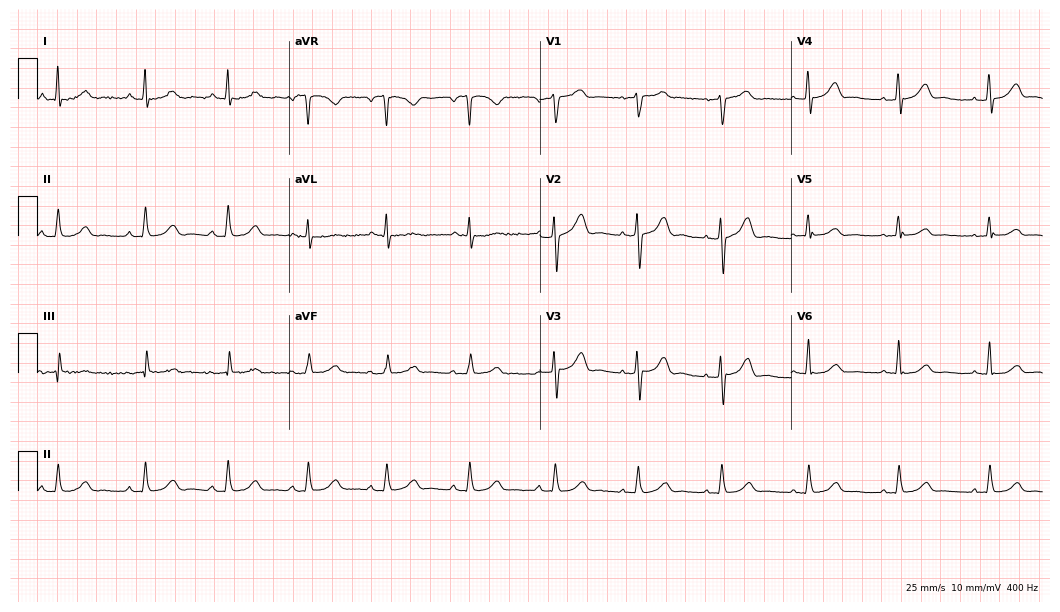
12-lead ECG from a 43-year-old female (10.2-second recording at 400 Hz). Recorded interpretation: within normal limits.